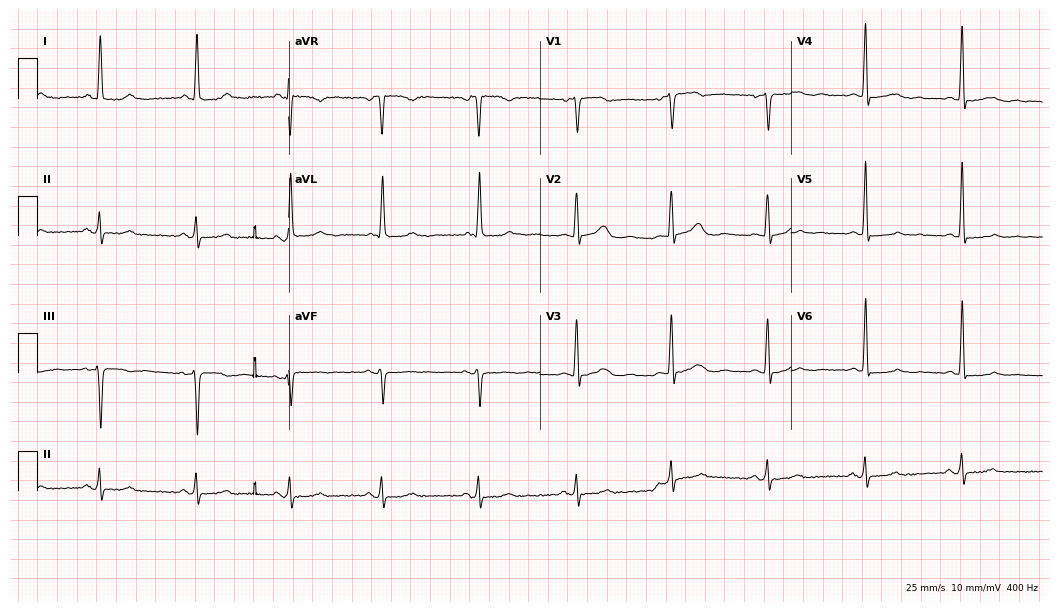
Resting 12-lead electrocardiogram (10.2-second recording at 400 Hz). Patient: a female, 71 years old. None of these six findings is recorded: first-degree AV block, right bundle branch block, left bundle branch block, sinus bradycardia, atrial fibrillation, sinus tachycardia. Findings outside these six are not listed.